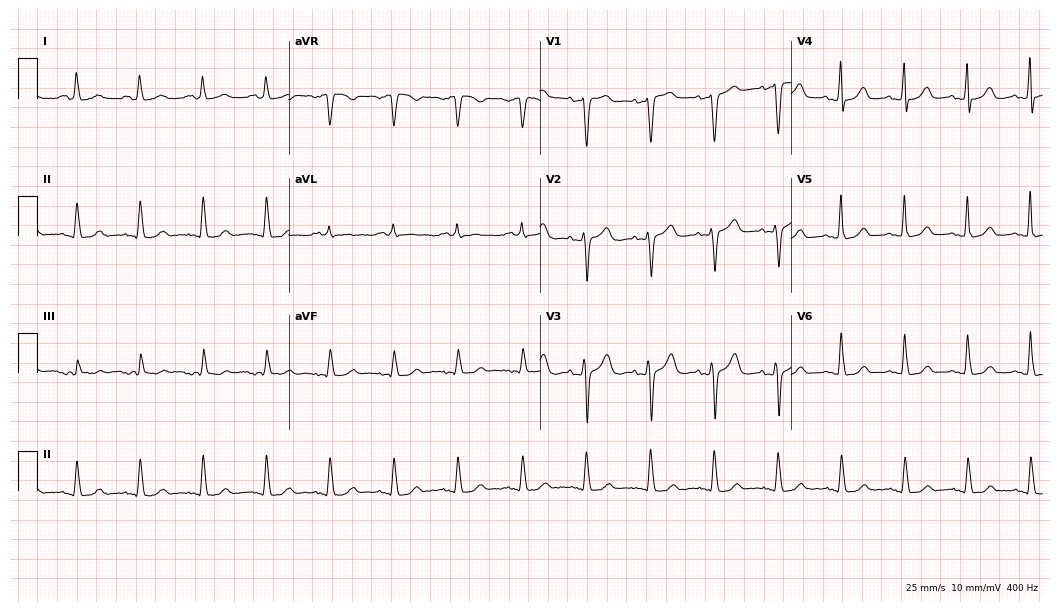
Electrocardiogram (10.2-second recording at 400 Hz), a 70-year-old female patient. Of the six screened findings (first-degree AV block, right bundle branch block, left bundle branch block, sinus bradycardia, atrial fibrillation, sinus tachycardia), none is recorded.